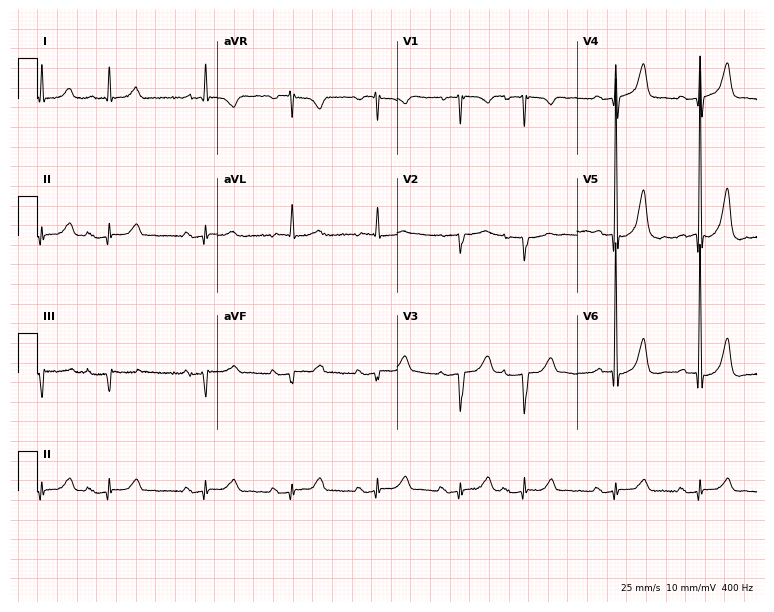
ECG — a 77-year-old female patient. Screened for six findings — first-degree AV block, right bundle branch block, left bundle branch block, sinus bradycardia, atrial fibrillation, sinus tachycardia — none is recorded.